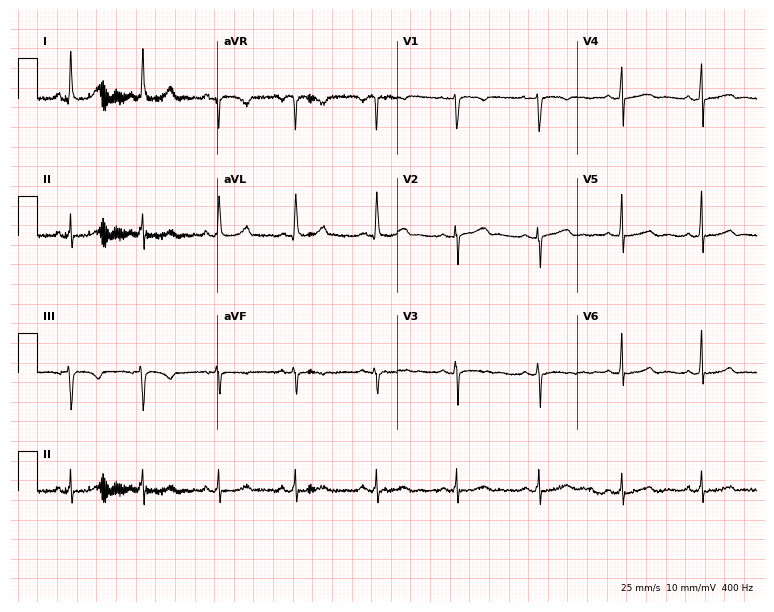
ECG (7.3-second recording at 400 Hz) — a woman, 29 years old. Labelled as a normal ECG.